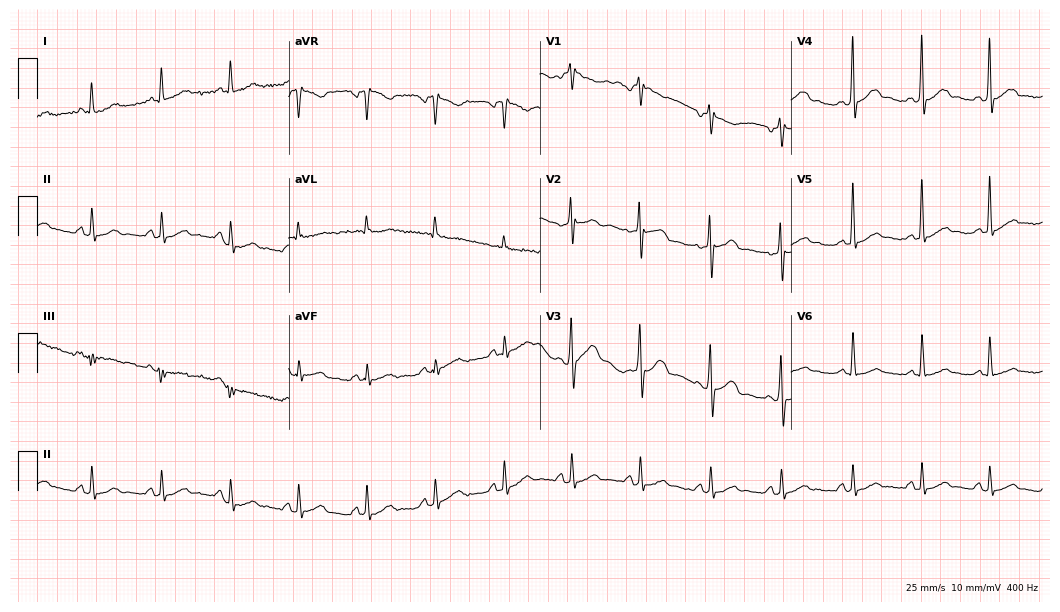
ECG (10.2-second recording at 400 Hz) — a 48-year-old male. Labelled as a normal ECG.